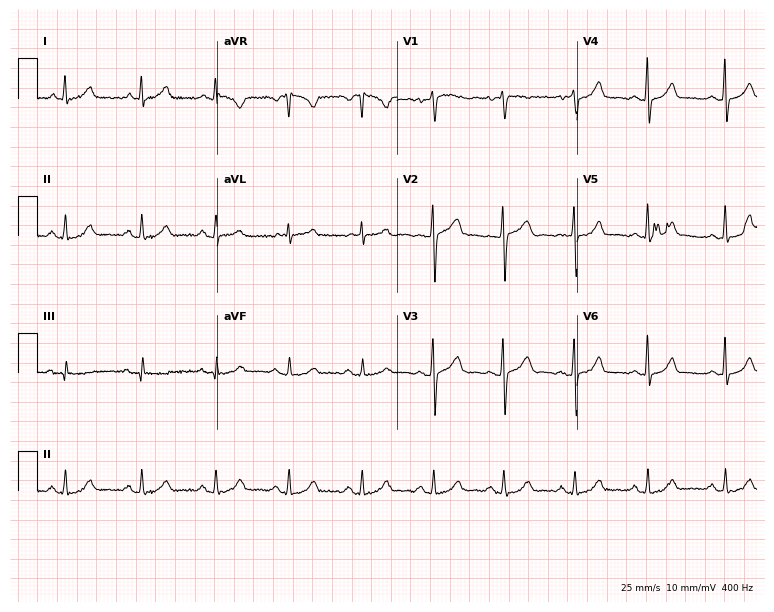
ECG — a 45-year-old female patient. Labelled as a normal ECG.